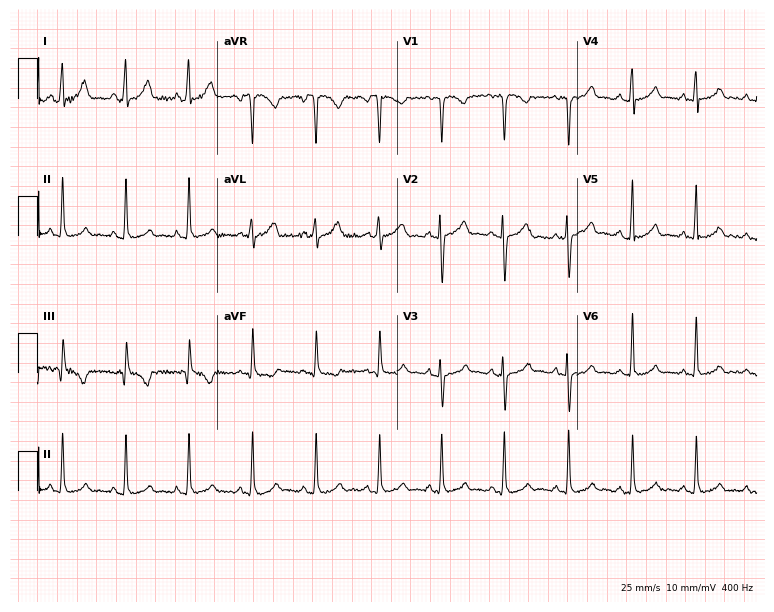
Resting 12-lead electrocardiogram. Patient: a woman, 25 years old. Read as a normal ECG.